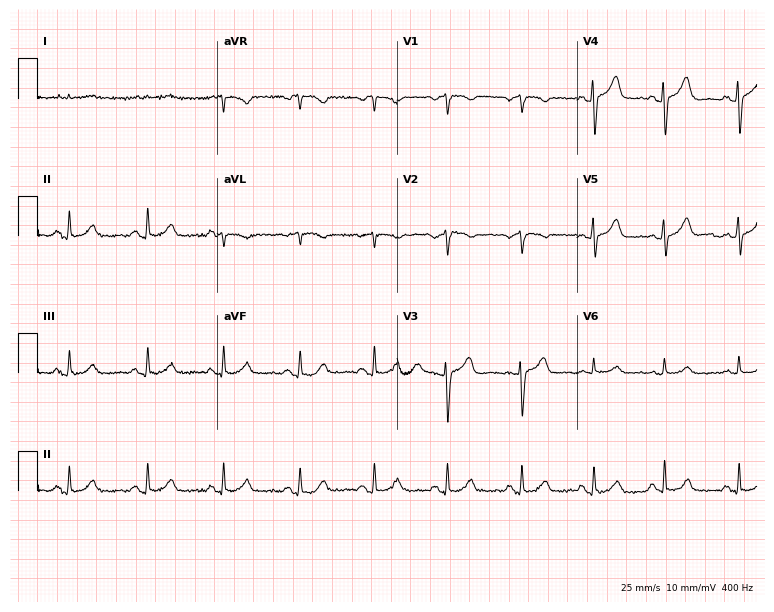
12-lead ECG from an 82-year-old male patient. Screened for six findings — first-degree AV block, right bundle branch block, left bundle branch block, sinus bradycardia, atrial fibrillation, sinus tachycardia — none is recorded. Findings outside these six are not listed.